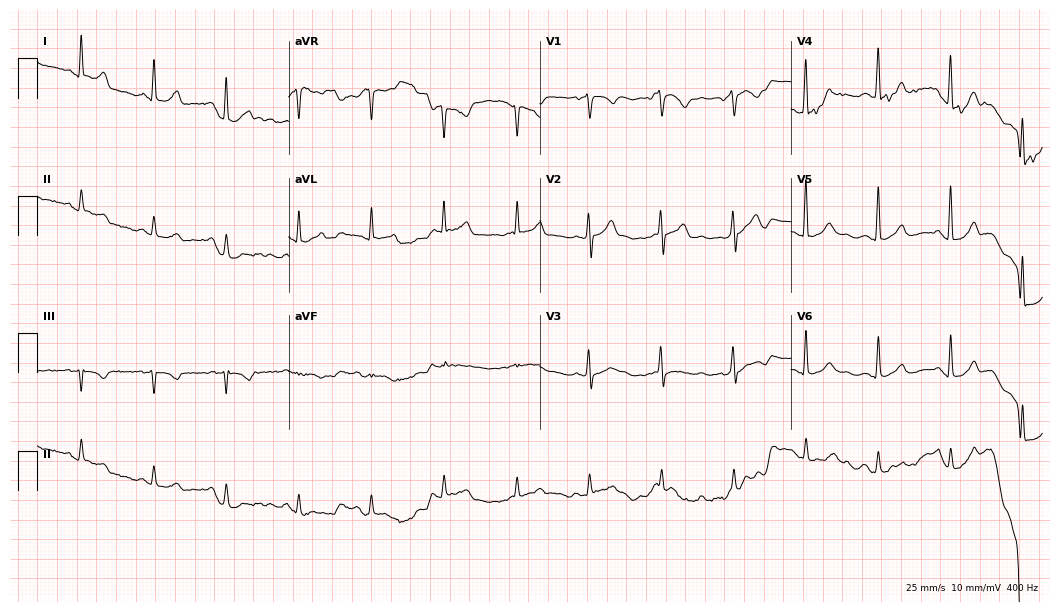
12-lead ECG (10.2-second recording at 400 Hz) from a male, 70 years old. Labelled as a normal ECG.